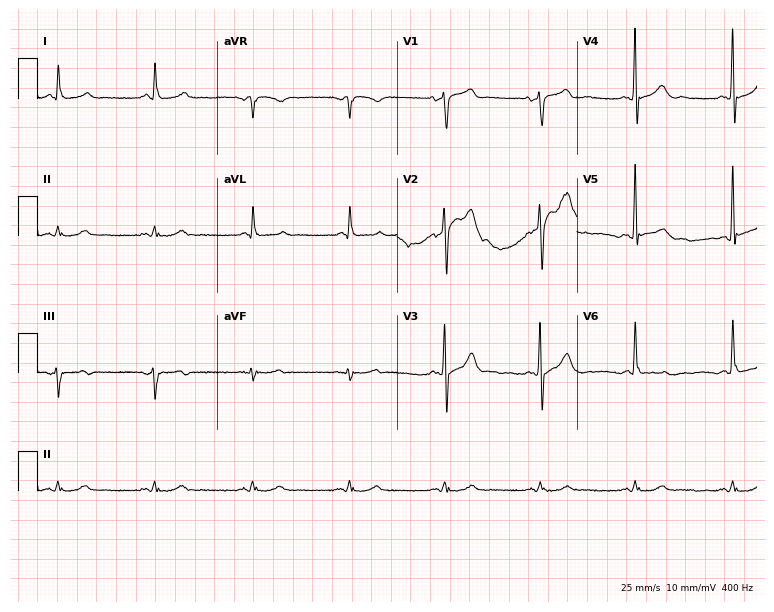
Electrocardiogram (7.3-second recording at 400 Hz), a 62-year-old man. Of the six screened findings (first-degree AV block, right bundle branch block, left bundle branch block, sinus bradycardia, atrial fibrillation, sinus tachycardia), none is recorded. Only these six findings were labelled.